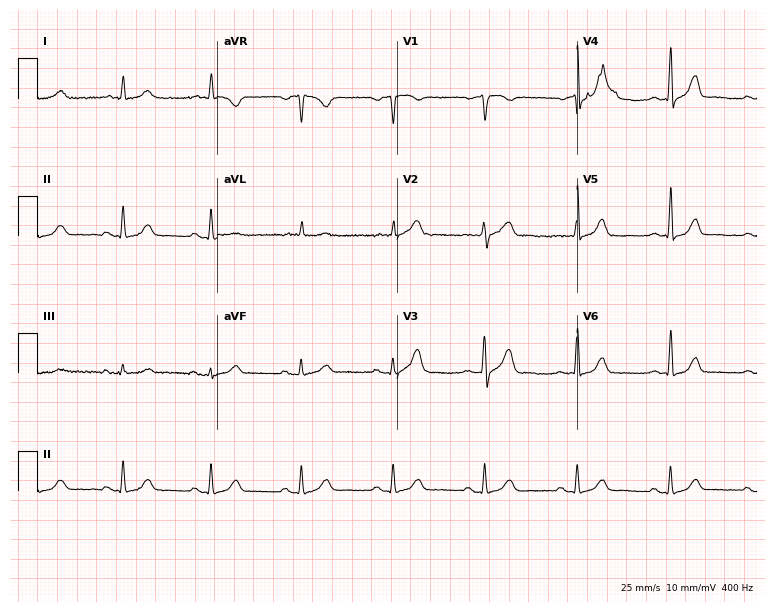
Electrocardiogram, a male, 80 years old. Of the six screened findings (first-degree AV block, right bundle branch block (RBBB), left bundle branch block (LBBB), sinus bradycardia, atrial fibrillation (AF), sinus tachycardia), none is recorded. Only these six findings were labelled.